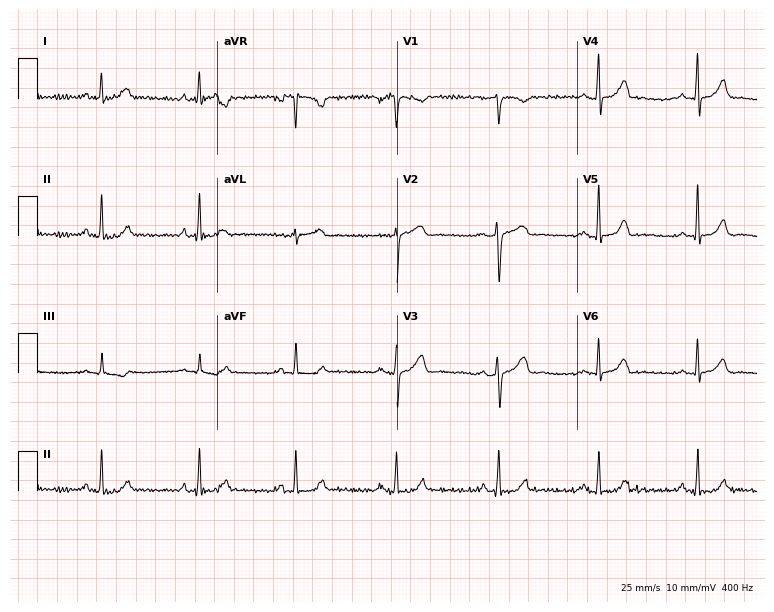
Resting 12-lead electrocardiogram. Patient: a 28-year-old female. Read as a normal ECG.